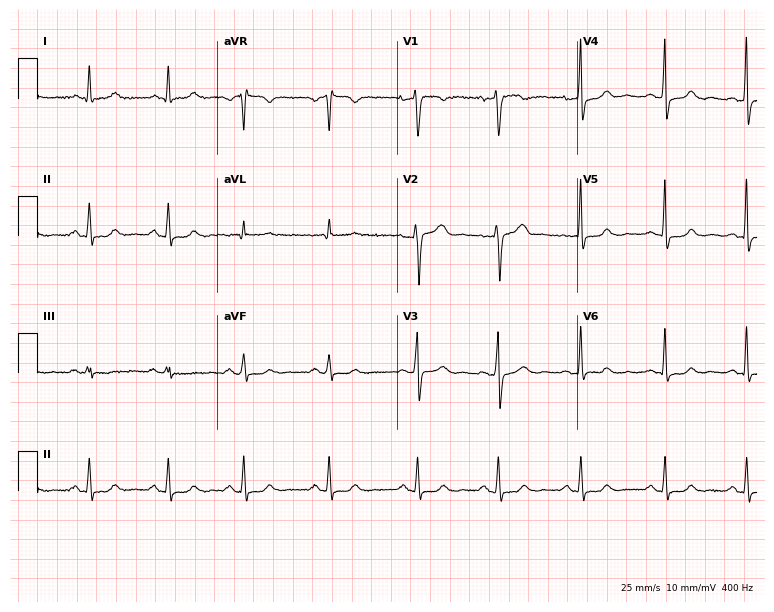
Standard 12-lead ECG recorded from a female, 51 years old. None of these six findings is recorded: first-degree AV block, right bundle branch block, left bundle branch block, sinus bradycardia, atrial fibrillation, sinus tachycardia. Only these six findings were labelled.